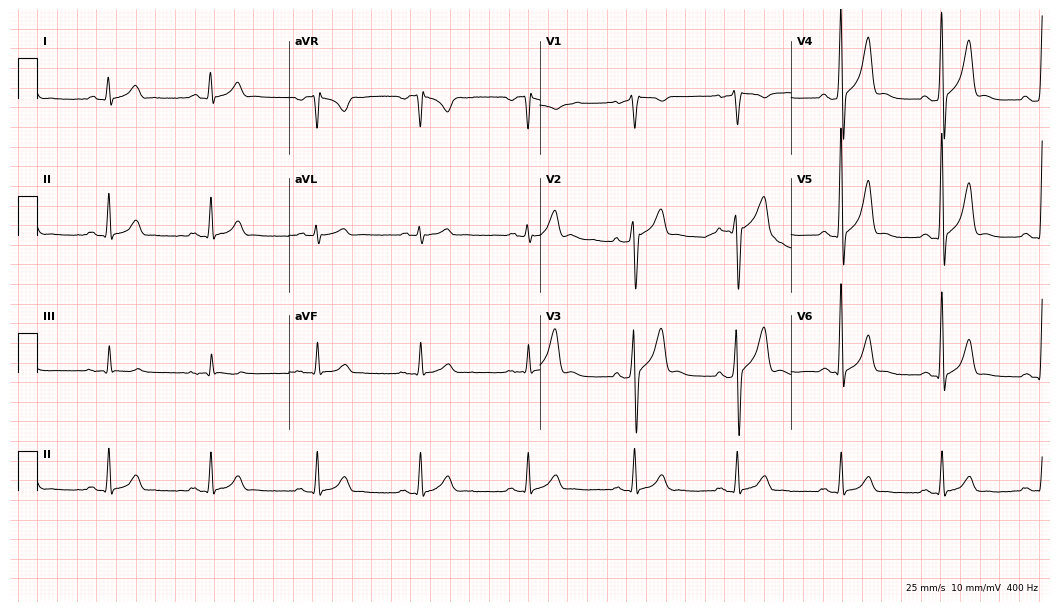
Resting 12-lead electrocardiogram. Patient: a 53-year-old male. None of these six findings is recorded: first-degree AV block, right bundle branch block (RBBB), left bundle branch block (LBBB), sinus bradycardia, atrial fibrillation (AF), sinus tachycardia. Other findings, if any, are not listed.